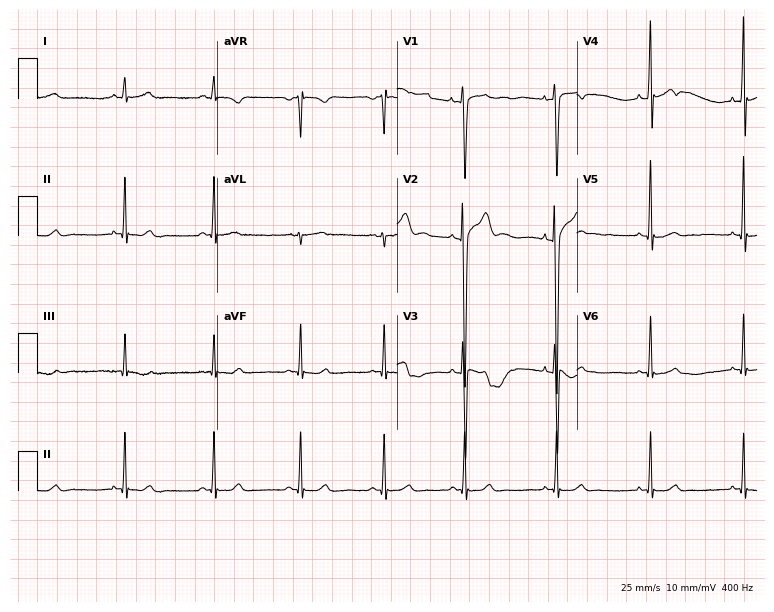
12-lead ECG from a 17-year-old male (7.3-second recording at 400 Hz). No first-degree AV block, right bundle branch block, left bundle branch block, sinus bradycardia, atrial fibrillation or sinus tachycardia recorded for this tracing.